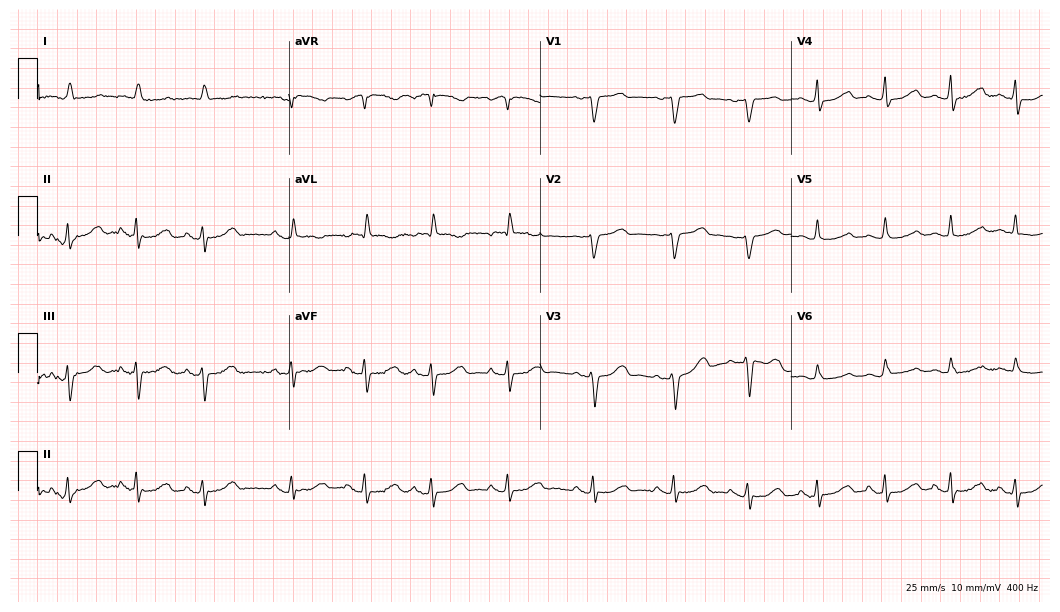
Electrocardiogram (10.2-second recording at 400 Hz), a female, 81 years old. Overall reading on record: normal ECG.